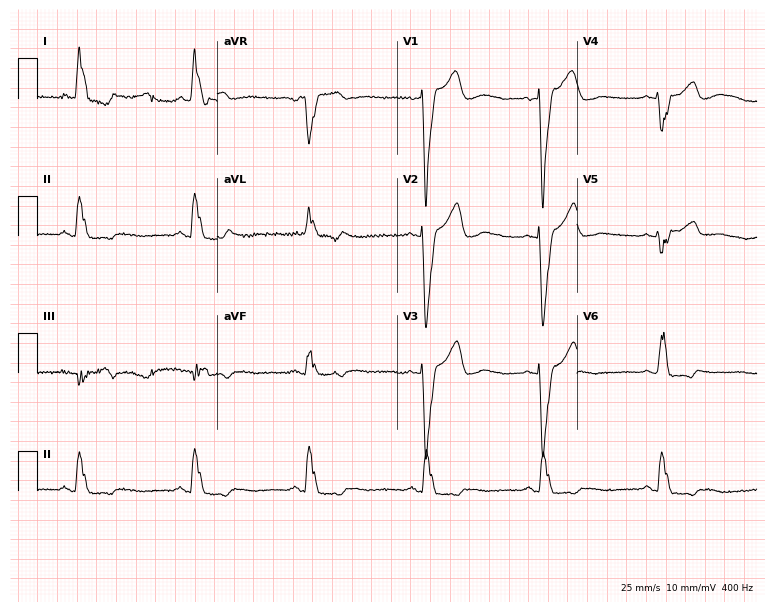
12-lead ECG from a 70-year-old woman (7.3-second recording at 400 Hz). Shows left bundle branch block.